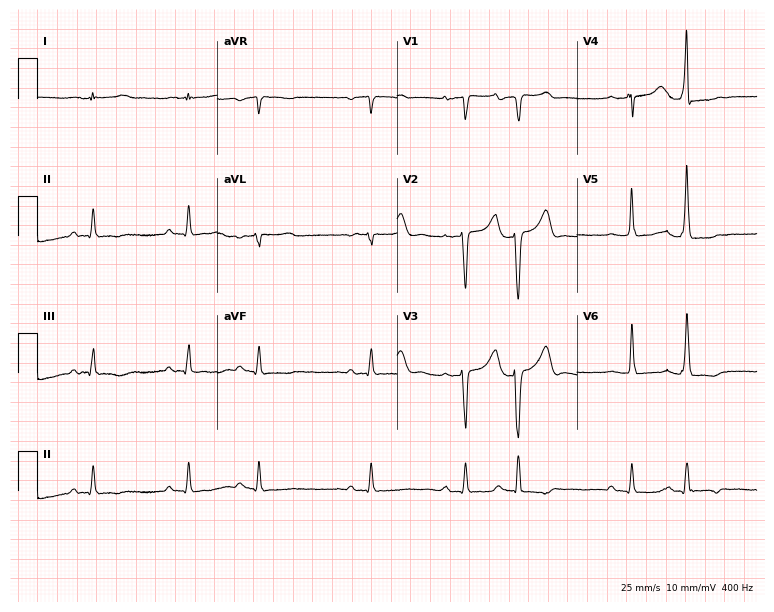
Standard 12-lead ECG recorded from a 70-year-old male (7.3-second recording at 400 Hz). None of these six findings is recorded: first-degree AV block, right bundle branch block, left bundle branch block, sinus bradycardia, atrial fibrillation, sinus tachycardia.